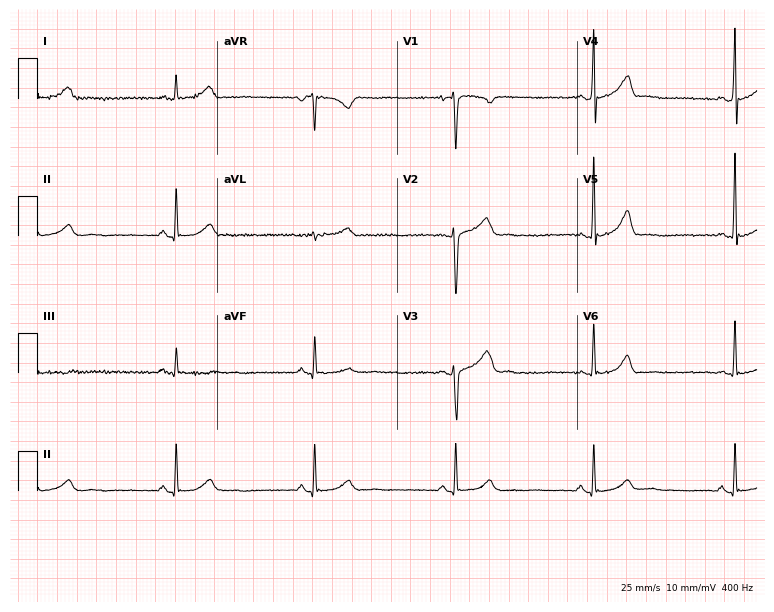
12-lead ECG (7.3-second recording at 400 Hz) from a man, 25 years old. Findings include sinus bradycardia (a sinus rate of 50 beats per minute or less).